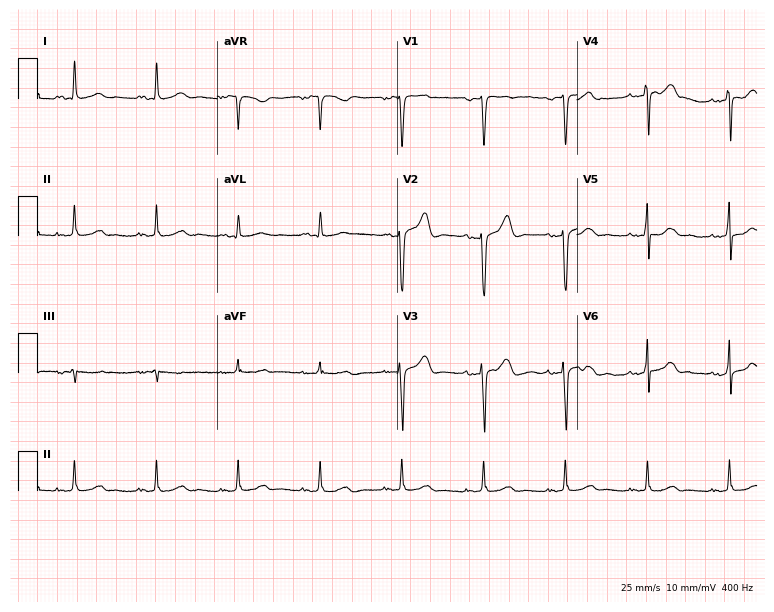
ECG (7.3-second recording at 400 Hz) — a 41-year-old male. Screened for six findings — first-degree AV block, right bundle branch block, left bundle branch block, sinus bradycardia, atrial fibrillation, sinus tachycardia — none is recorded.